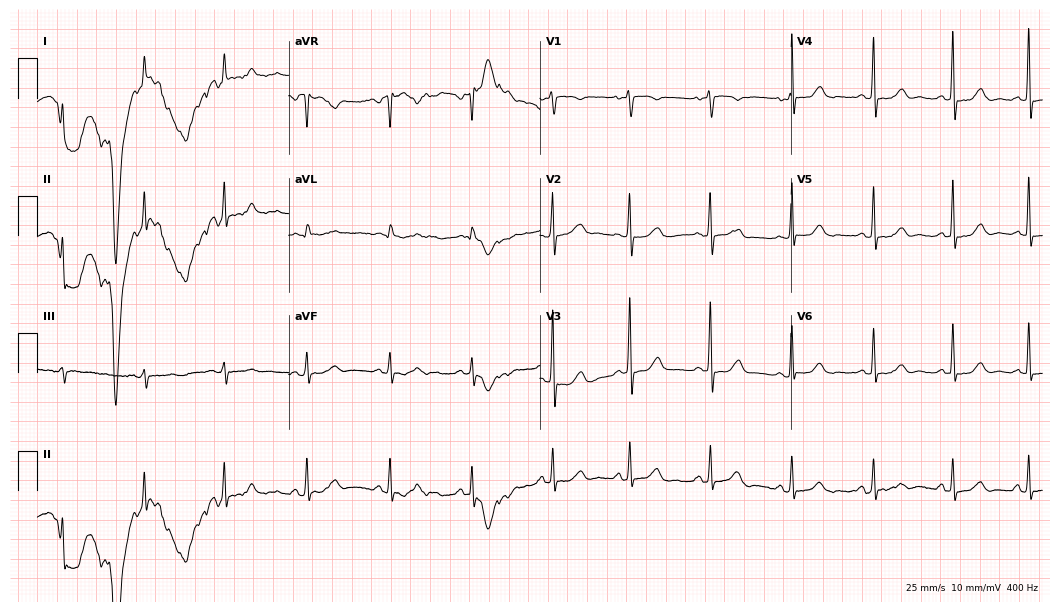
12-lead ECG from a woman, 60 years old. Labelled as a normal ECG.